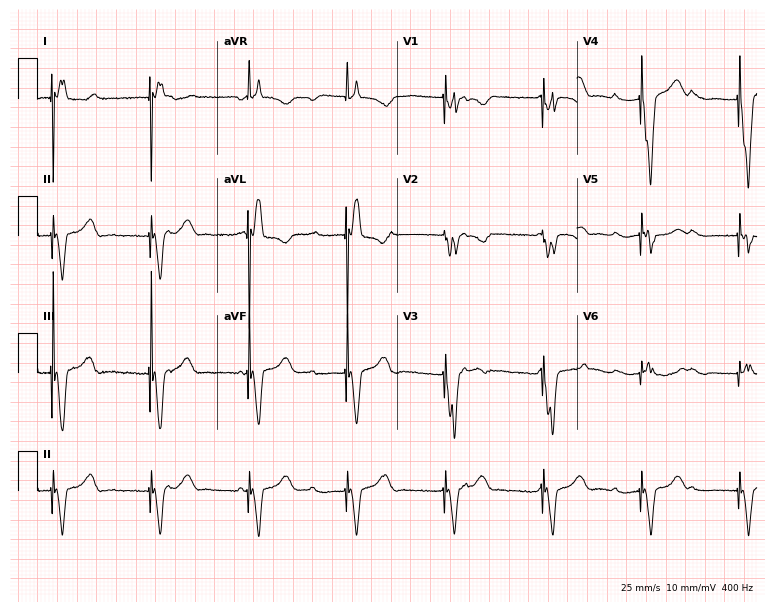
ECG (7.3-second recording at 400 Hz) — an 80-year-old female patient. Screened for six findings — first-degree AV block, right bundle branch block, left bundle branch block, sinus bradycardia, atrial fibrillation, sinus tachycardia — none is recorded. Other findings, if any, are not listed.